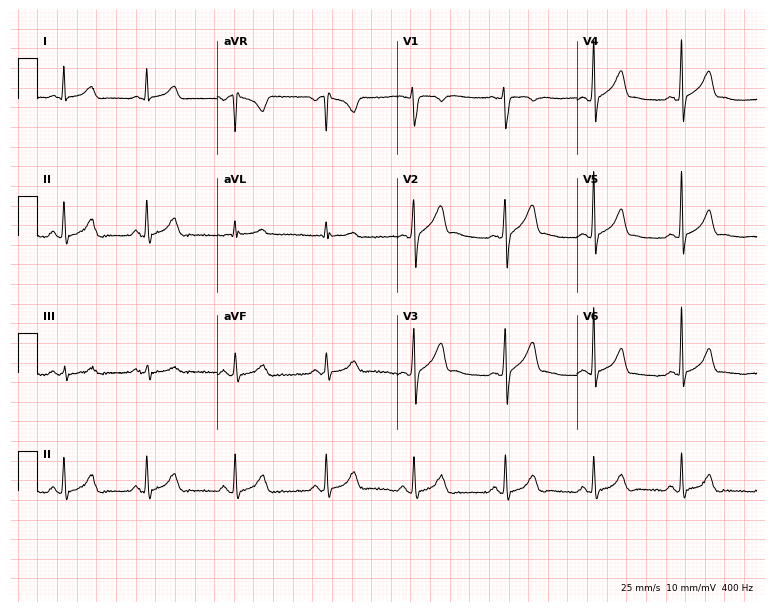
Resting 12-lead electrocardiogram (7.3-second recording at 400 Hz). Patient: a 28-year-old male. Read as a normal ECG.